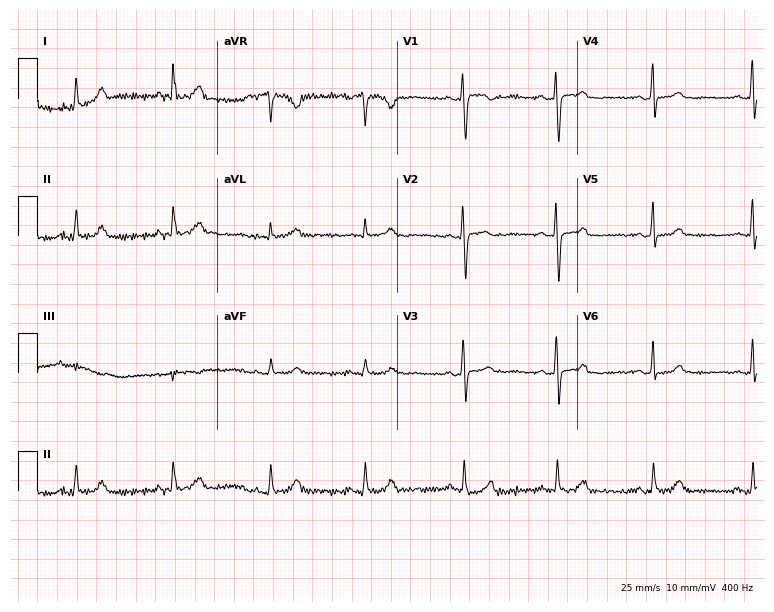
ECG — a 35-year-old woman. Labelled as a normal ECG.